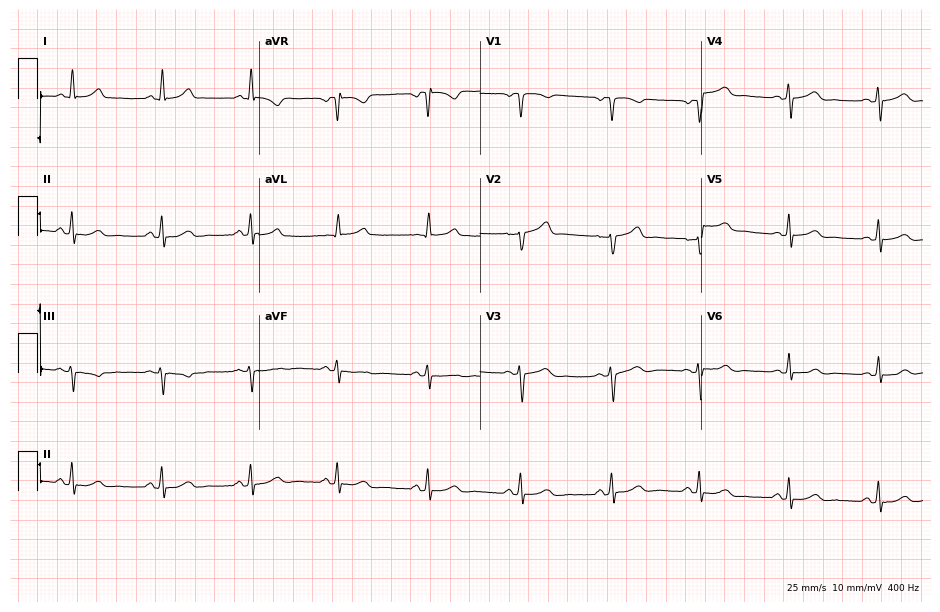
Standard 12-lead ECG recorded from a 44-year-old woman (9-second recording at 400 Hz). Read as a normal ECG.